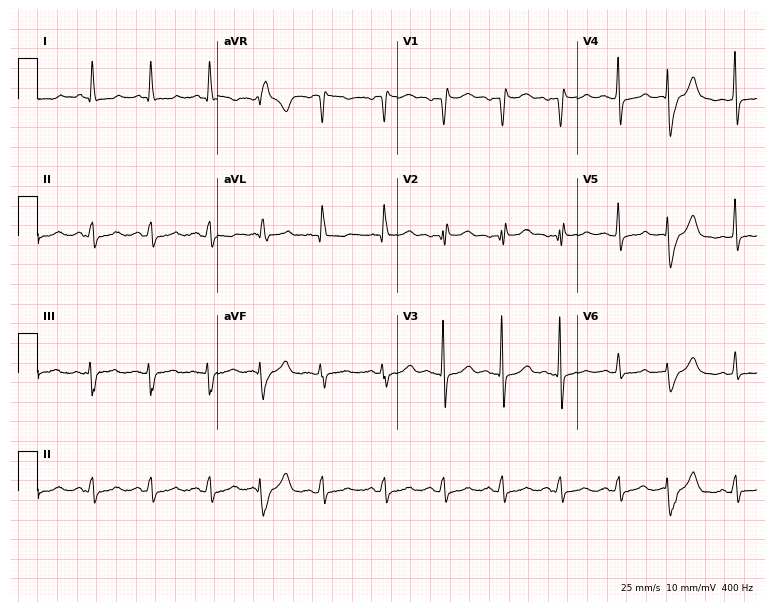
12-lead ECG from a female patient, 57 years old. No first-degree AV block, right bundle branch block, left bundle branch block, sinus bradycardia, atrial fibrillation or sinus tachycardia recorded for this tracing.